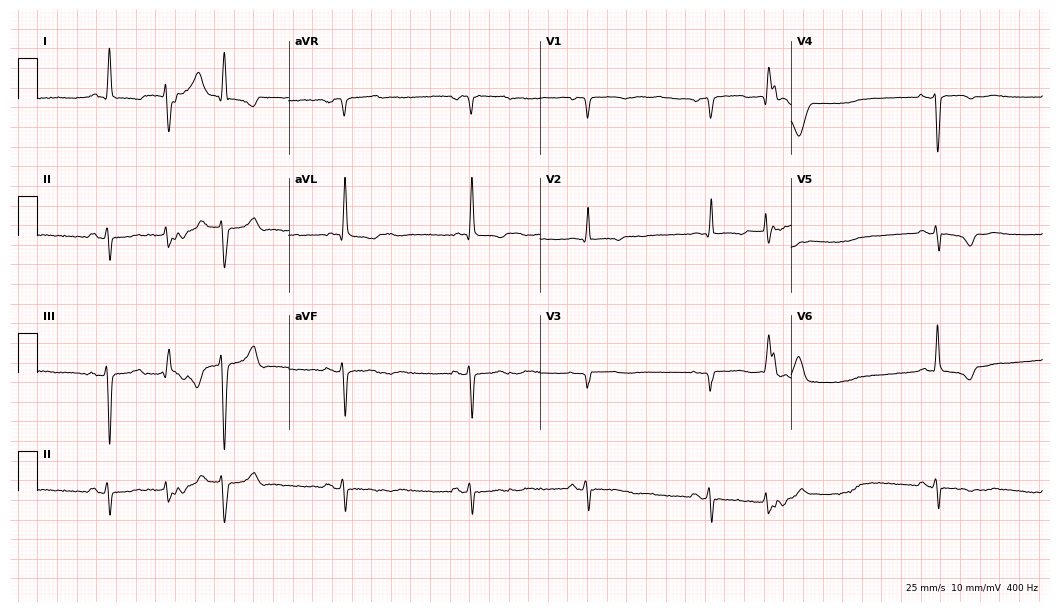
Resting 12-lead electrocardiogram (10.2-second recording at 400 Hz). Patient: a female, 80 years old. The tracing shows sinus bradycardia (a sinus rate of 50 beats per minute or less).